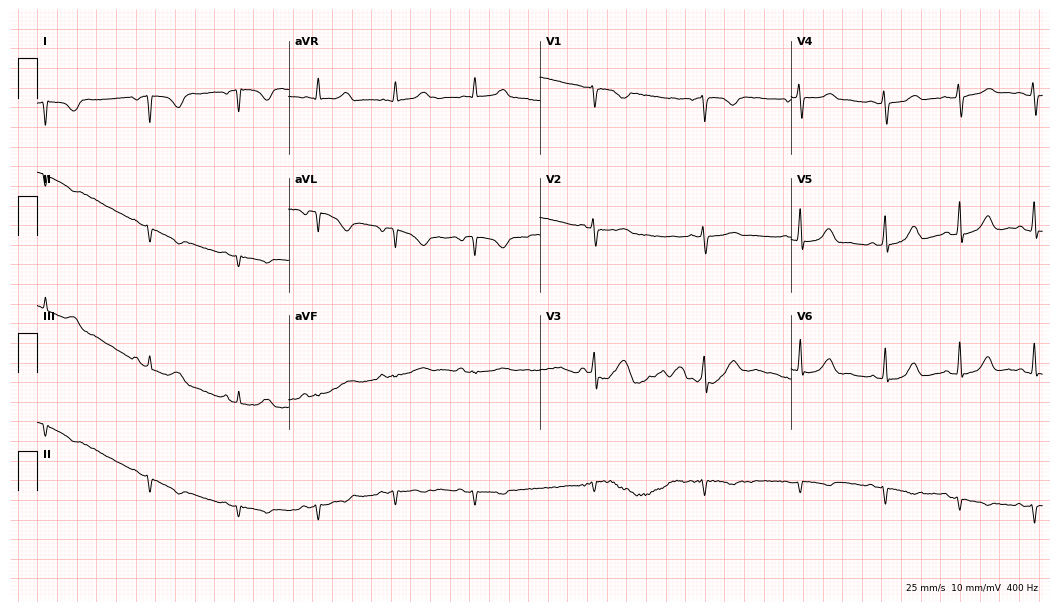
Standard 12-lead ECG recorded from a 42-year-old woman. None of these six findings is recorded: first-degree AV block, right bundle branch block (RBBB), left bundle branch block (LBBB), sinus bradycardia, atrial fibrillation (AF), sinus tachycardia. Only these six findings were labelled.